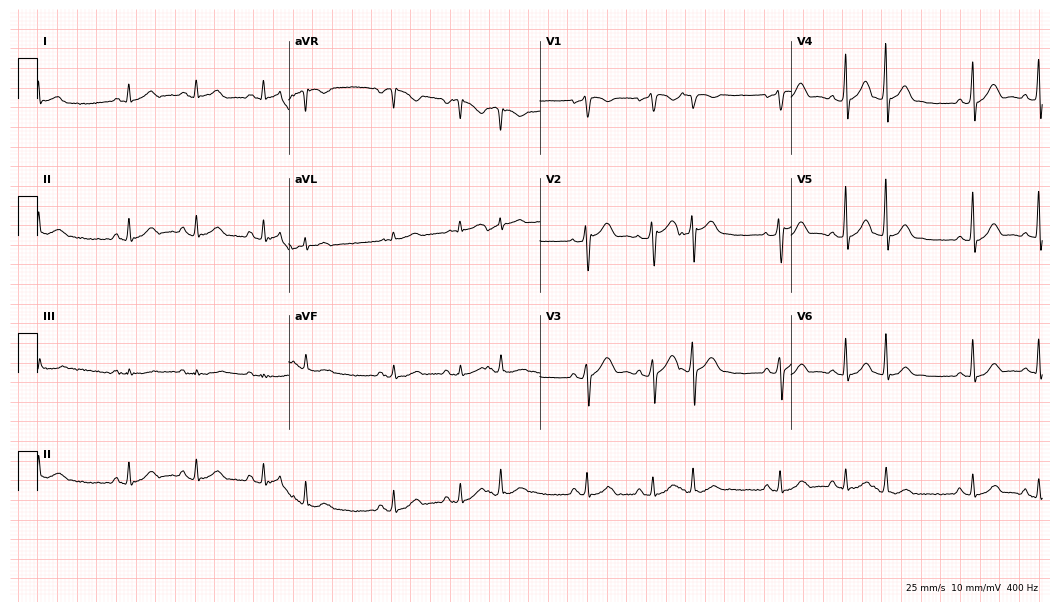
Standard 12-lead ECG recorded from a male patient, 54 years old. None of these six findings is recorded: first-degree AV block, right bundle branch block, left bundle branch block, sinus bradycardia, atrial fibrillation, sinus tachycardia. Other findings, if any, are not listed.